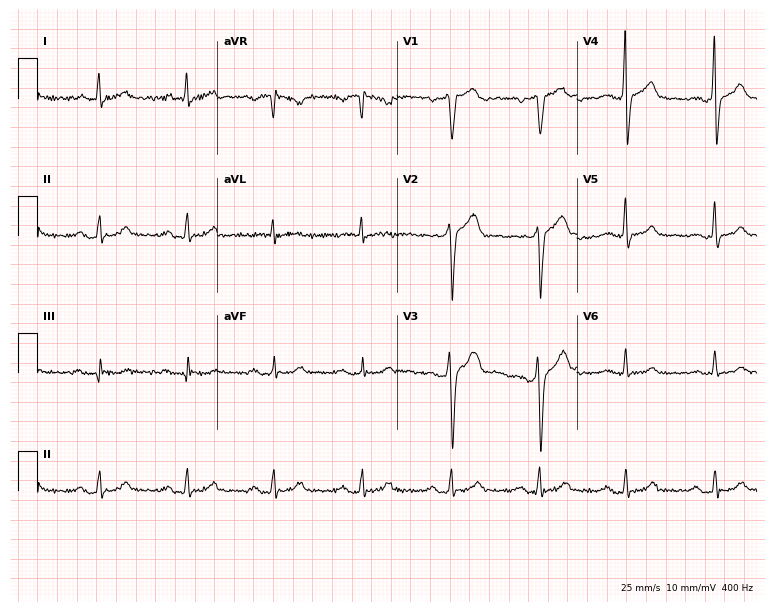
12-lead ECG from a male patient, 55 years old. Screened for six findings — first-degree AV block, right bundle branch block, left bundle branch block, sinus bradycardia, atrial fibrillation, sinus tachycardia — none is recorded. Only these six findings were labelled.